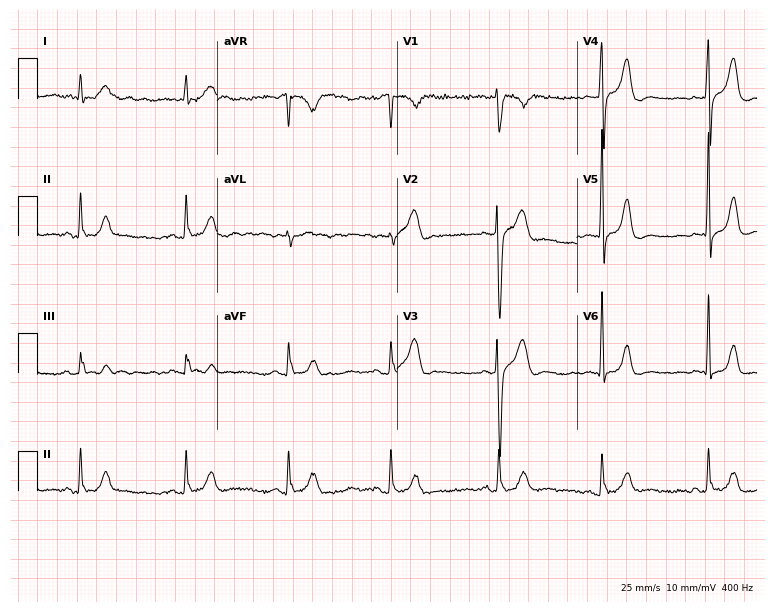
Standard 12-lead ECG recorded from a 53-year-old female patient (7.3-second recording at 400 Hz). None of these six findings is recorded: first-degree AV block, right bundle branch block (RBBB), left bundle branch block (LBBB), sinus bradycardia, atrial fibrillation (AF), sinus tachycardia. Findings outside these six are not listed.